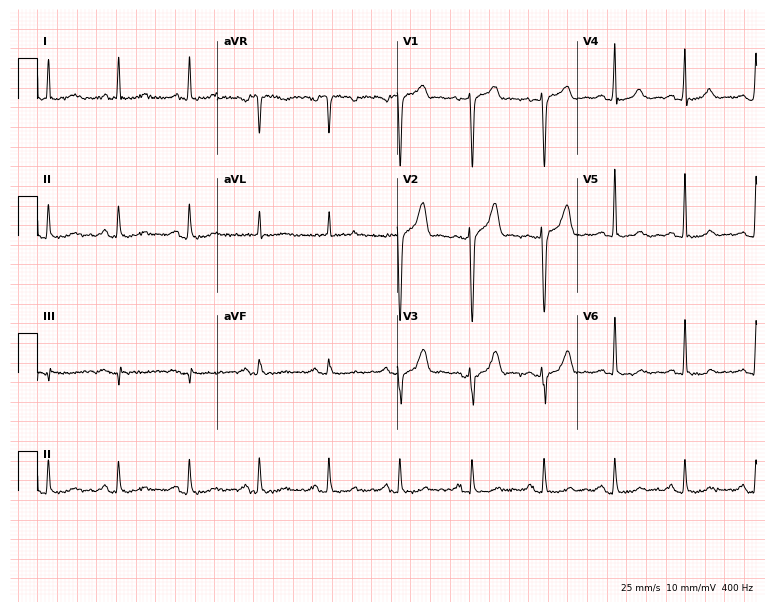
Standard 12-lead ECG recorded from a 77-year-old man. None of these six findings is recorded: first-degree AV block, right bundle branch block, left bundle branch block, sinus bradycardia, atrial fibrillation, sinus tachycardia. Other findings, if any, are not listed.